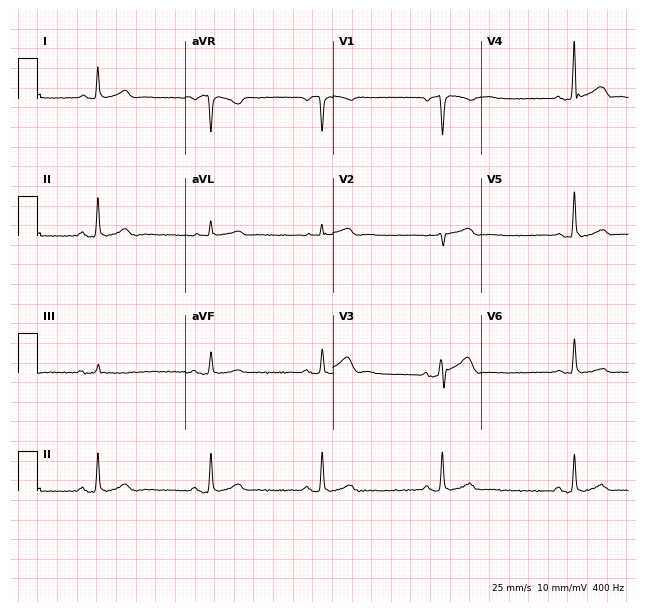
Standard 12-lead ECG recorded from a 51-year-old male patient (6-second recording at 400 Hz). None of these six findings is recorded: first-degree AV block, right bundle branch block, left bundle branch block, sinus bradycardia, atrial fibrillation, sinus tachycardia.